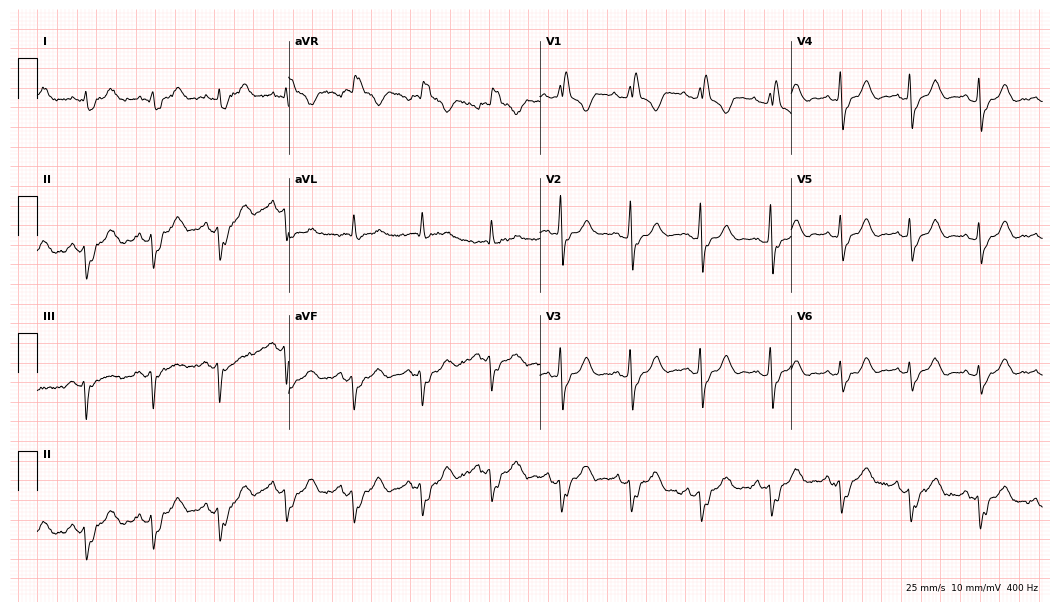
ECG (10.2-second recording at 400 Hz) — an 81-year-old male. Findings include right bundle branch block.